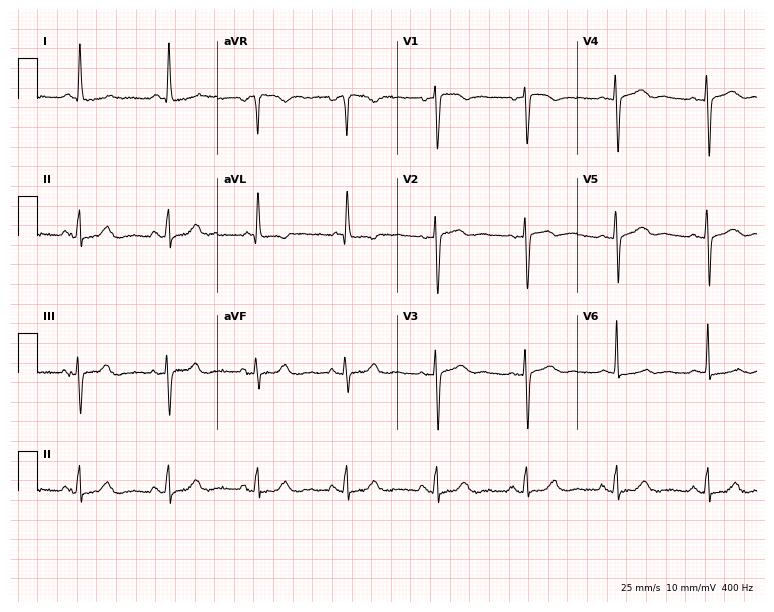
ECG (7.3-second recording at 400 Hz) — a 78-year-old female patient. Screened for six findings — first-degree AV block, right bundle branch block, left bundle branch block, sinus bradycardia, atrial fibrillation, sinus tachycardia — none is recorded.